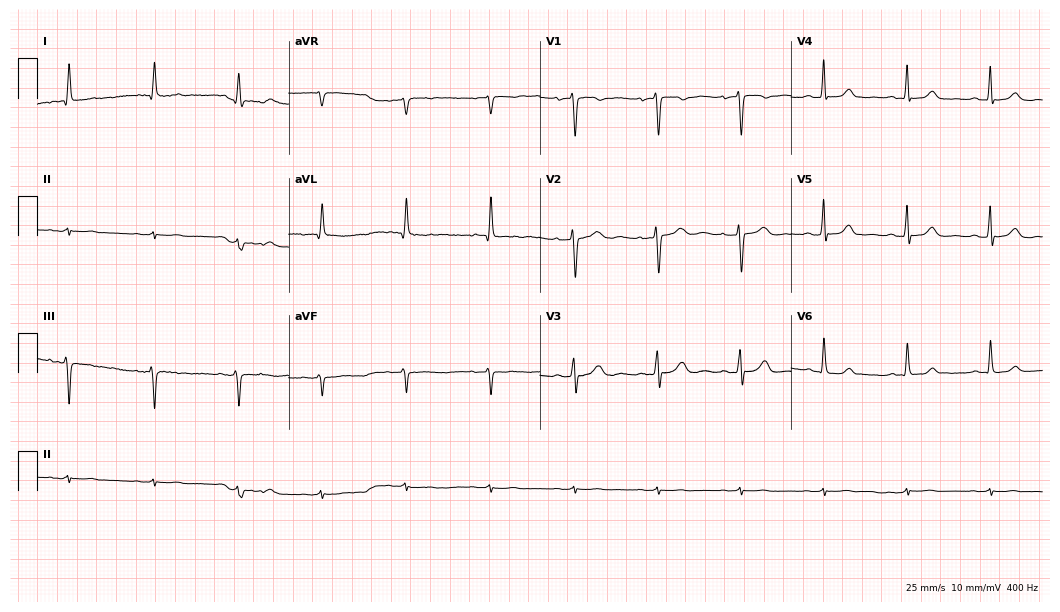
12-lead ECG (10.2-second recording at 400 Hz) from a woman, 77 years old. Screened for six findings — first-degree AV block, right bundle branch block, left bundle branch block, sinus bradycardia, atrial fibrillation, sinus tachycardia — none is recorded.